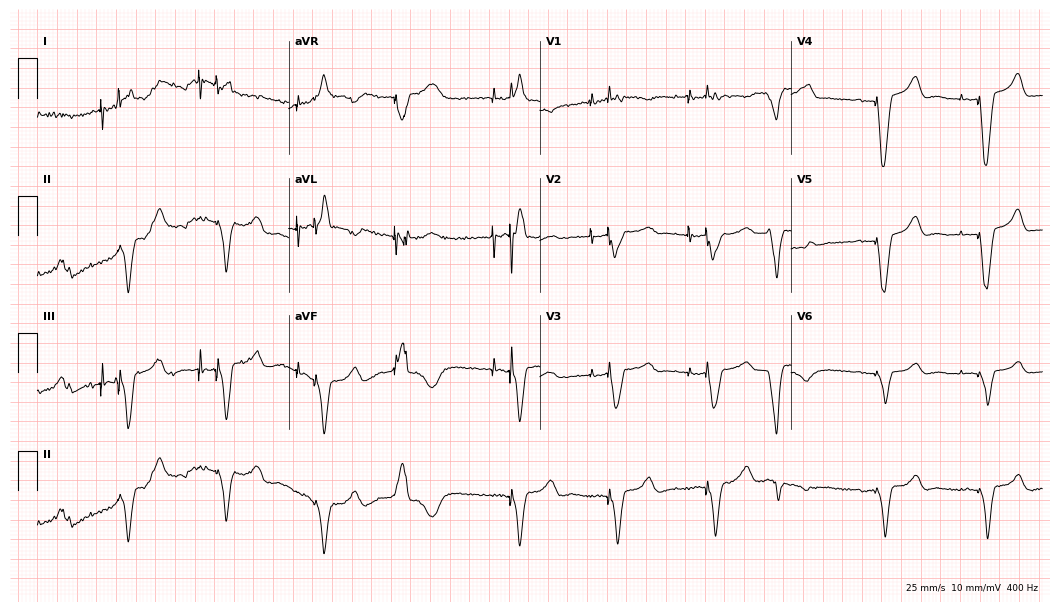
ECG — a 66-year-old female. Screened for six findings — first-degree AV block, right bundle branch block (RBBB), left bundle branch block (LBBB), sinus bradycardia, atrial fibrillation (AF), sinus tachycardia — none is recorded. Only these six findings were labelled.